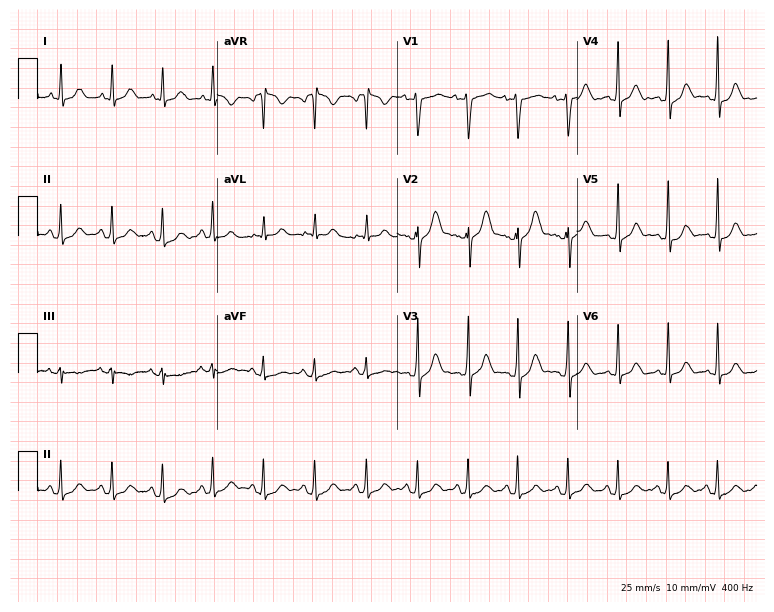
Electrocardiogram (7.3-second recording at 400 Hz), a woman, 21 years old. Interpretation includes sinus tachycardia (a sinus rate of 100 beats per minute or more).